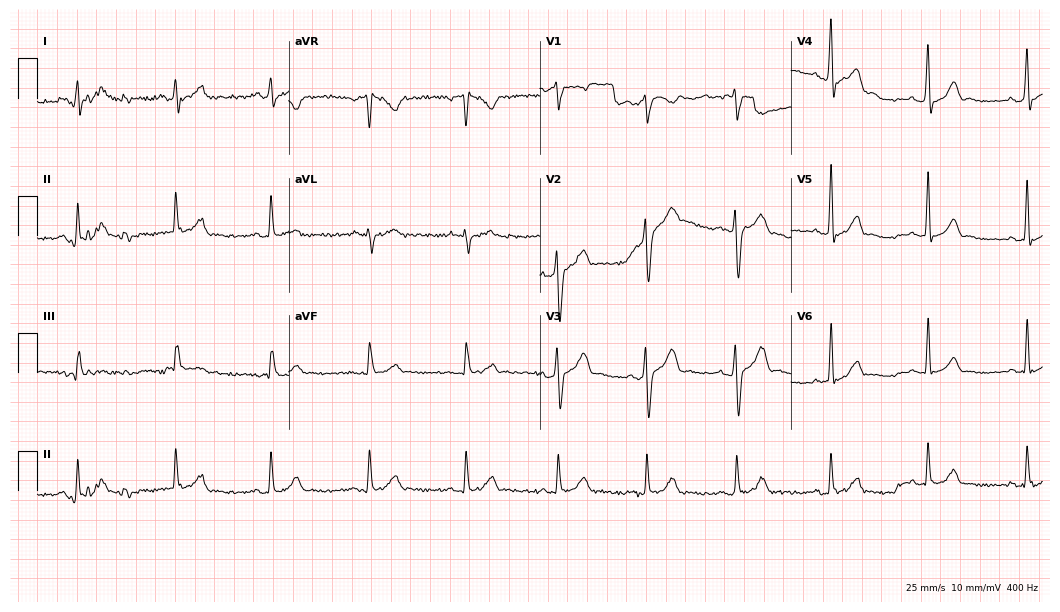
12-lead ECG from a 32-year-old man (10.2-second recording at 400 Hz). No first-degree AV block, right bundle branch block, left bundle branch block, sinus bradycardia, atrial fibrillation or sinus tachycardia recorded for this tracing.